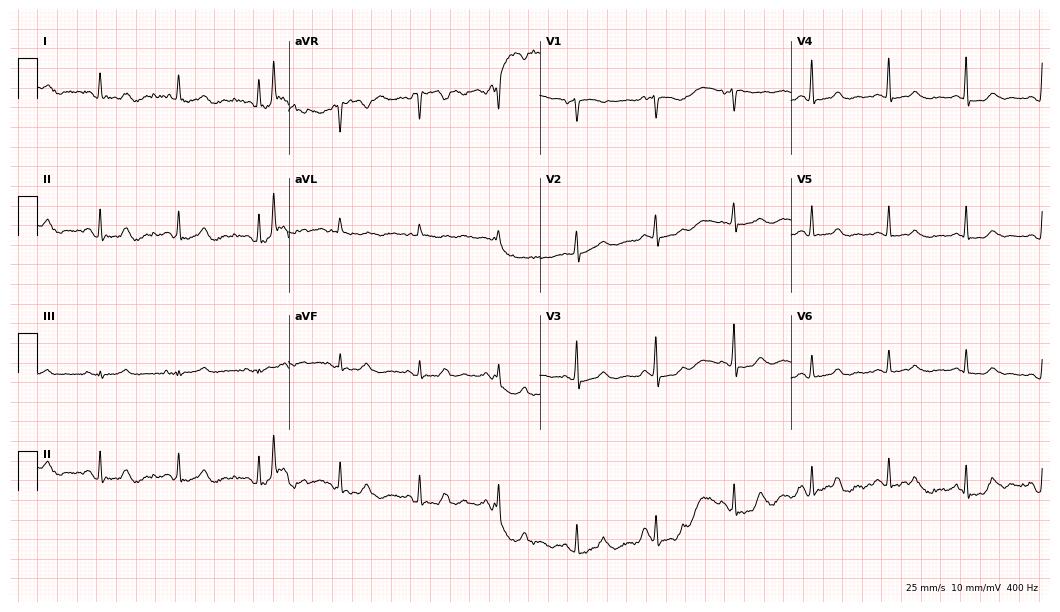
12-lead ECG from a female patient, 83 years old. No first-degree AV block, right bundle branch block, left bundle branch block, sinus bradycardia, atrial fibrillation or sinus tachycardia recorded for this tracing.